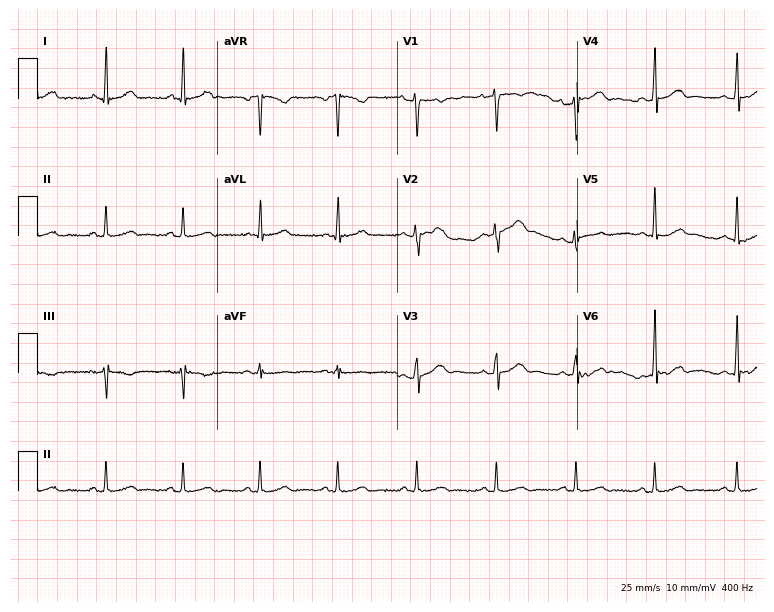
12-lead ECG from a female patient, 38 years old (7.3-second recording at 400 Hz). Recorded interpretation: within normal limits.